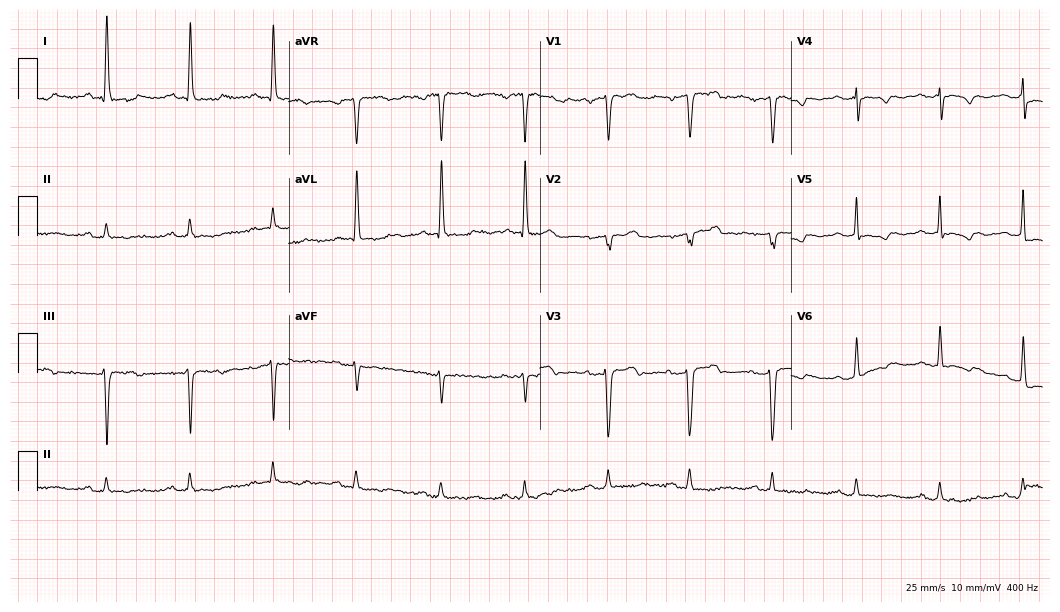
Electrocardiogram, a female patient, 61 years old. Of the six screened findings (first-degree AV block, right bundle branch block (RBBB), left bundle branch block (LBBB), sinus bradycardia, atrial fibrillation (AF), sinus tachycardia), none is recorded.